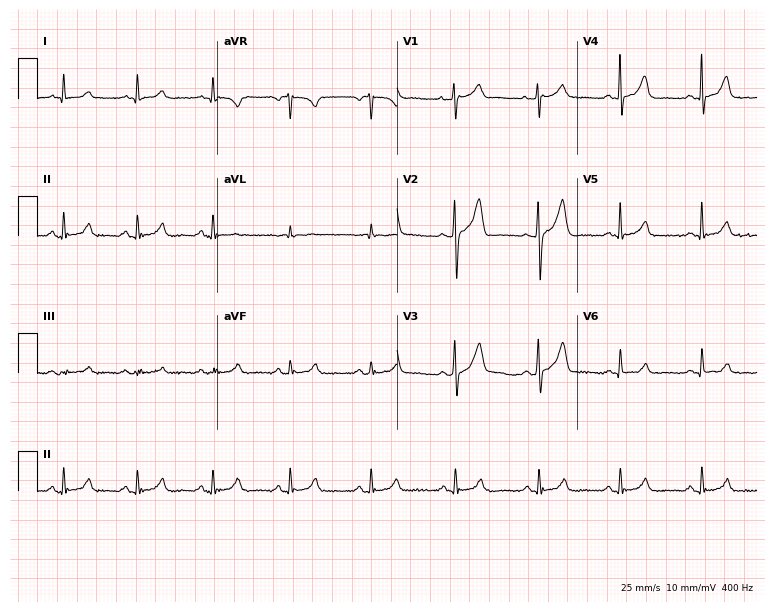
Electrocardiogram, a man, 41 years old. Overall reading on record: normal ECG.